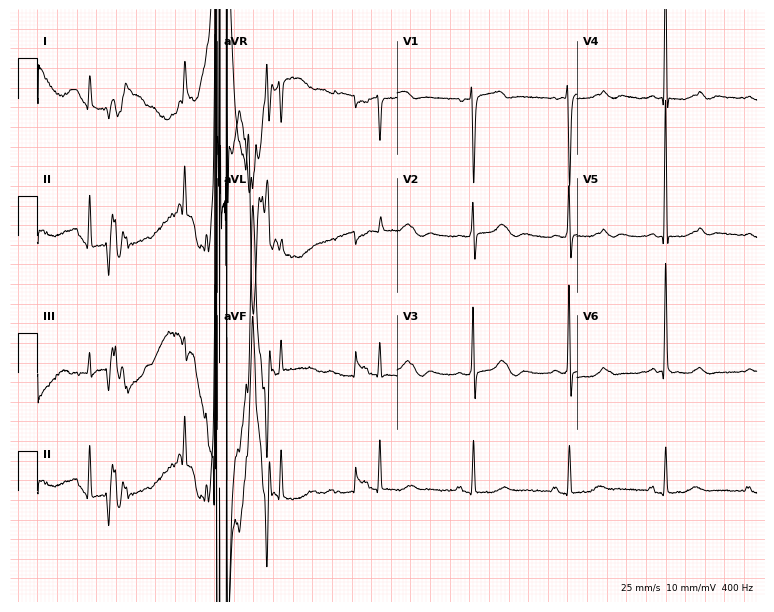
Electrocardiogram (7.3-second recording at 400 Hz), a female, 73 years old. Of the six screened findings (first-degree AV block, right bundle branch block, left bundle branch block, sinus bradycardia, atrial fibrillation, sinus tachycardia), none is recorded. Findings outside these six are not listed.